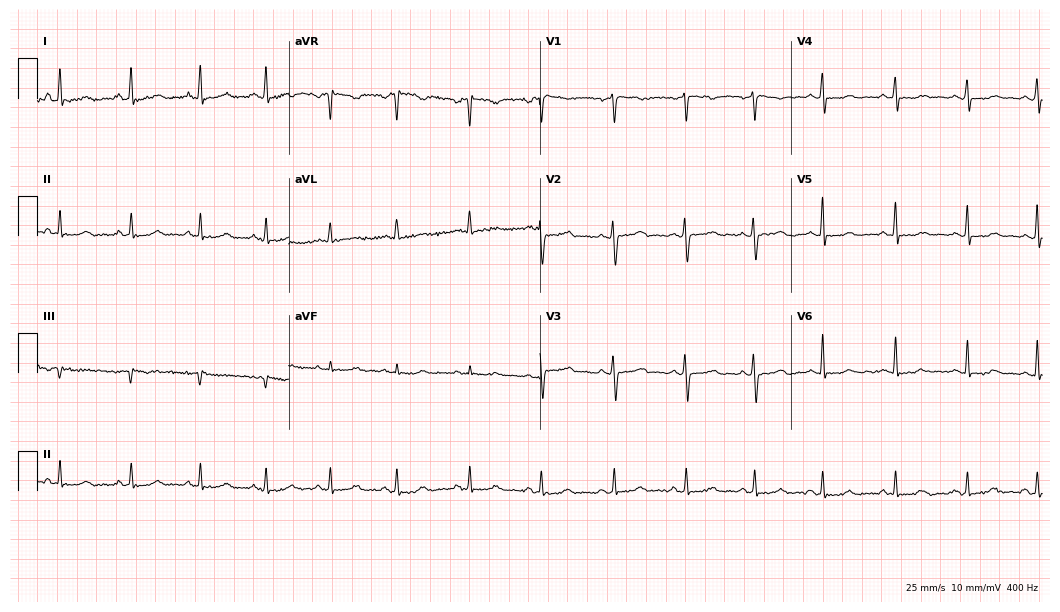
12-lead ECG from a 27-year-old female. Screened for six findings — first-degree AV block, right bundle branch block (RBBB), left bundle branch block (LBBB), sinus bradycardia, atrial fibrillation (AF), sinus tachycardia — none is recorded.